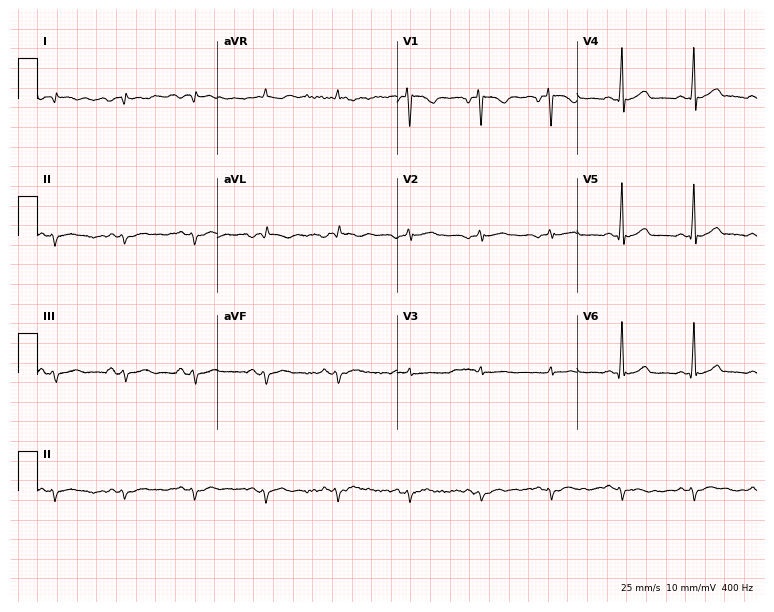
12-lead ECG from a man, 48 years old (7.3-second recording at 400 Hz). No first-degree AV block, right bundle branch block (RBBB), left bundle branch block (LBBB), sinus bradycardia, atrial fibrillation (AF) or sinus tachycardia recorded for this tracing.